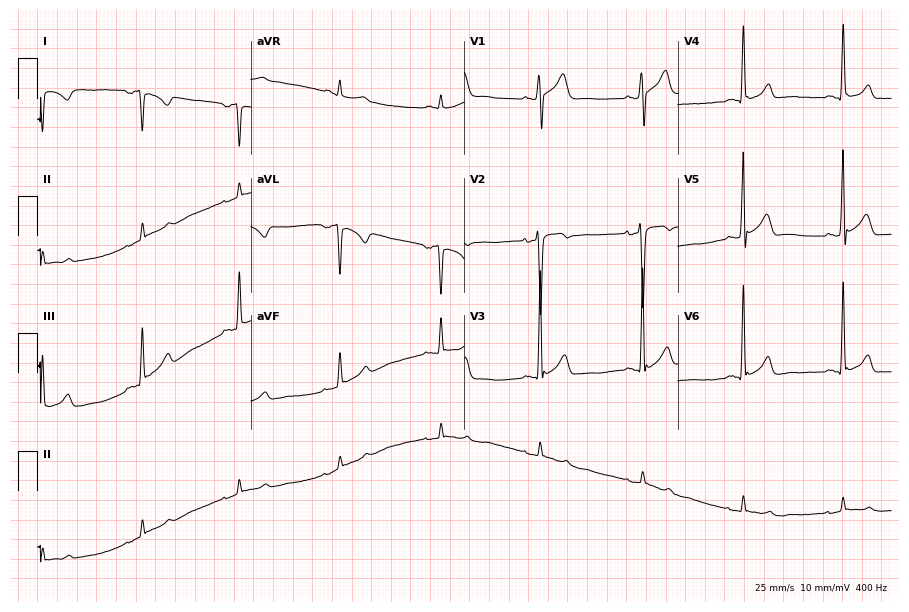
ECG — a 28-year-old male. Screened for six findings — first-degree AV block, right bundle branch block, left bundle branch block, sinus bradycardia, atrial fibrillation, sinus tachycardia — none is recorded.